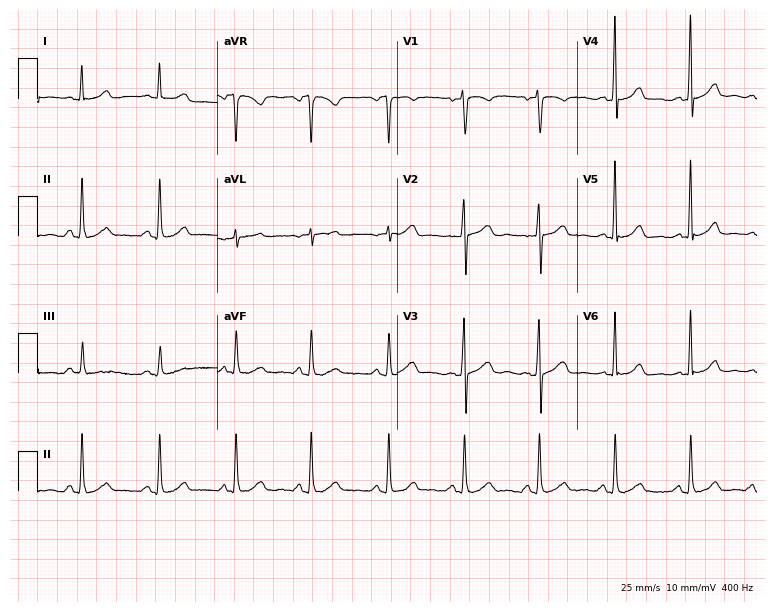
12-lead ECG from a woman, 39 years old (7.3-second recording at 400 Hz). Recorded interpretation: within normal limits.